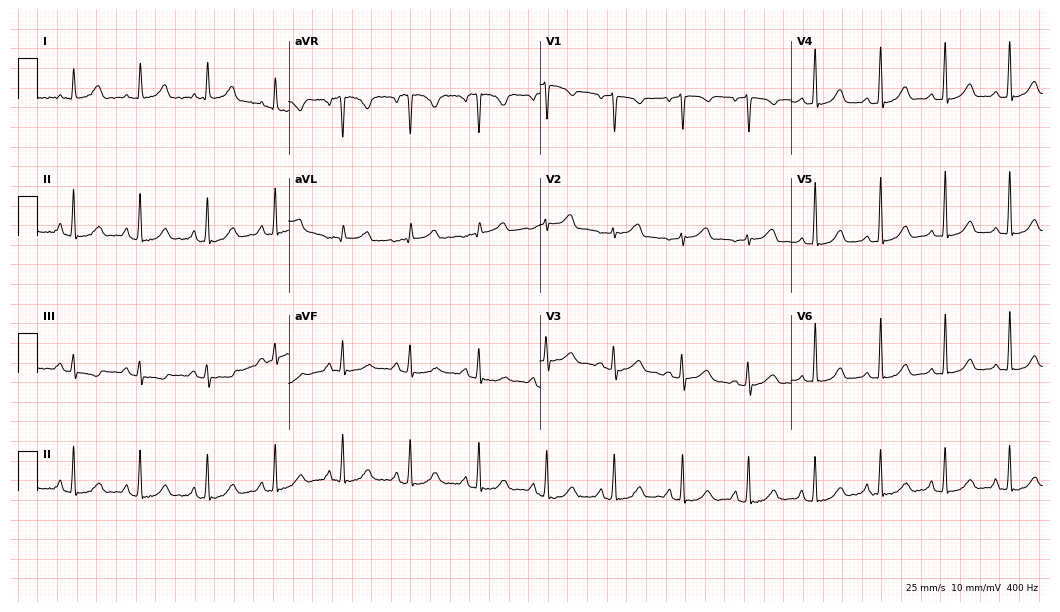
12-lead ECG from a woman, 54 years old. Recorded interpretation: within normal limits.